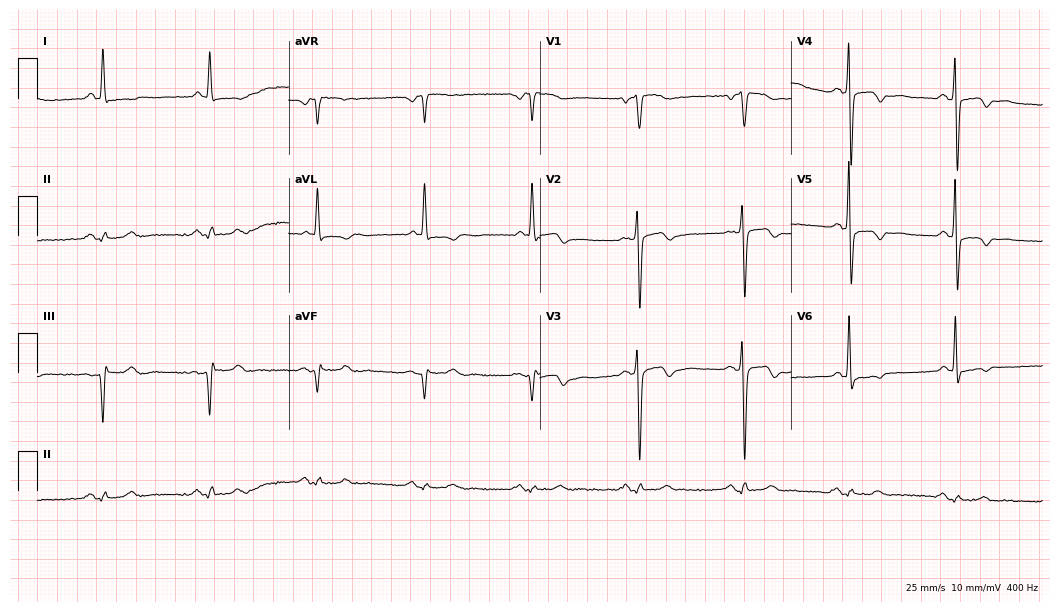
Resting 12-lead electrocardiogram (10.2-second recording at 400 Hz). Patient: a male, 71 years old. None of these six findings is recorded: first-degree AV block, right bundle branch block (RBBB), left bundle branch block (LBBB), sinus bradycardia, atrial fibrillation (AF), sinus tachycardia.